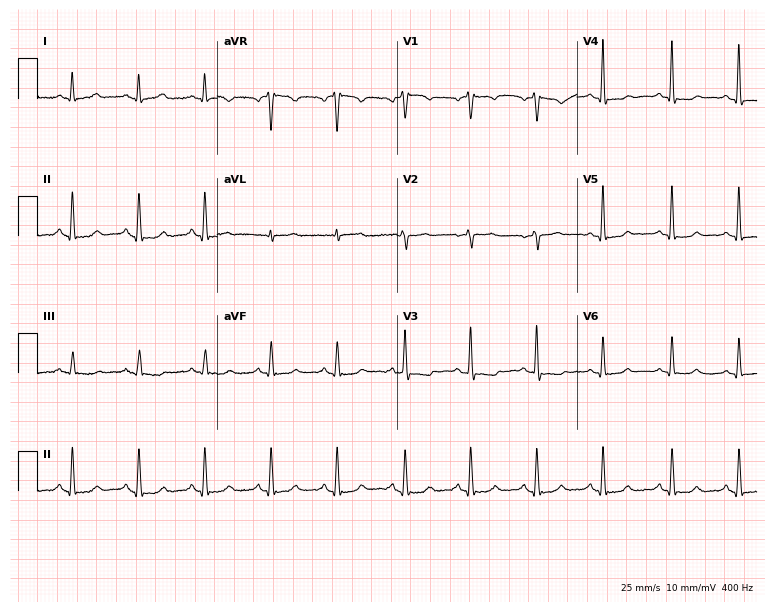
ECG — a 57-year-old female patient. Screened for six findings — first-degree AV block, right bundle branch block (RBBB), left bundle branch block (LBBB), sinus bradycardia, atrial fibrillation (AF), sinus tachycardia — none is recorded. Other findings, if any, are not listed.